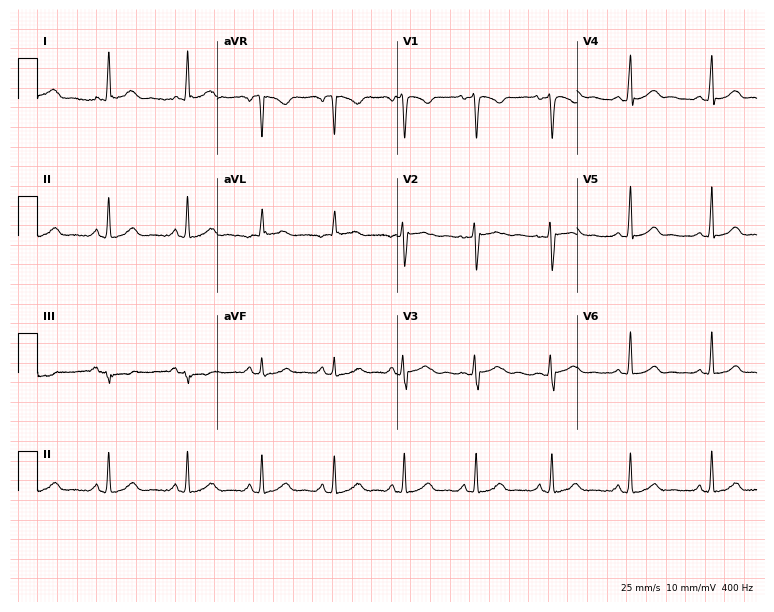
12-lead ECG from a female patient, 36 years old. Labelled as a normal ECG.